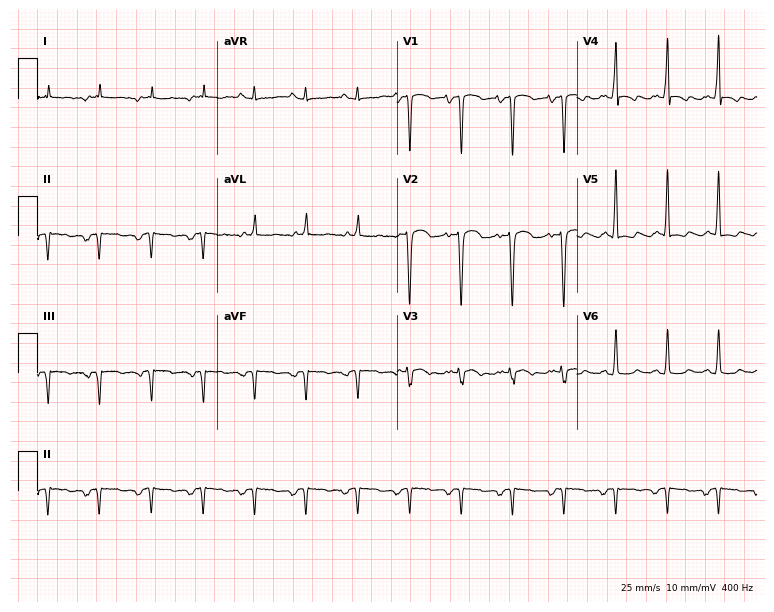
Standard 12-lead ECG recorded from a male patient, 33 years old. None of these six findings is recorded: first-degree AV block, right bundle branch block (RBBB), left bundle branch block (LBBB), sinus bradycardia, atrial fibrillation (AF), sinus tachycardia. Other findings, if any, are not listed.